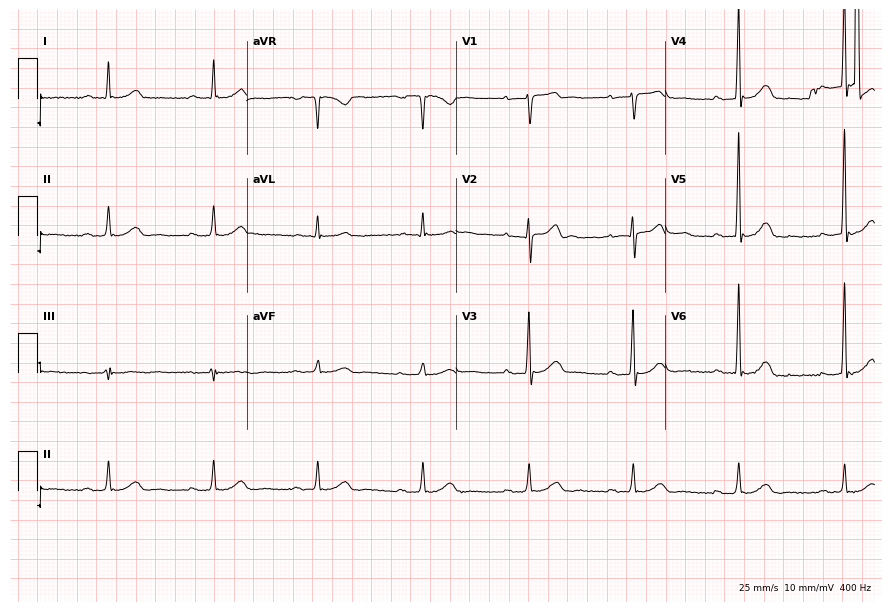
Standard 12-lead ECG recorded from a male patient, 69 years old. None of these six findings is recorded: first-degree AV block, right bundle branch block (RBBB), left bundle branch block (LBBB), sinus bradycardia, atrial fibrillation (AF), sinus tachycardia. Only these six findings were labelled.